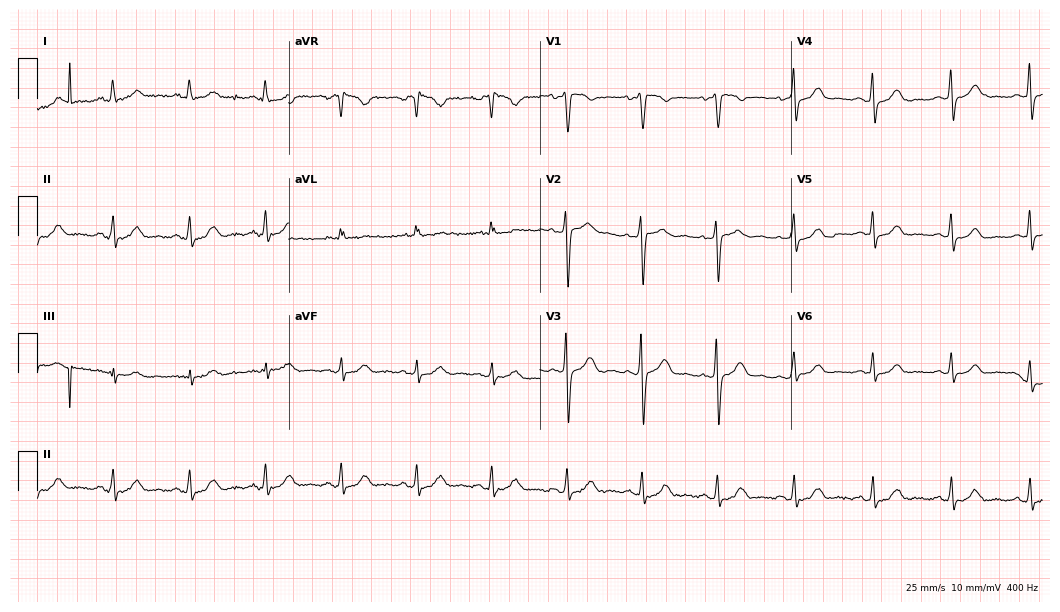
Standard 12-lead ECG recorded from a female, 43 years old. Read as a normal ECG.